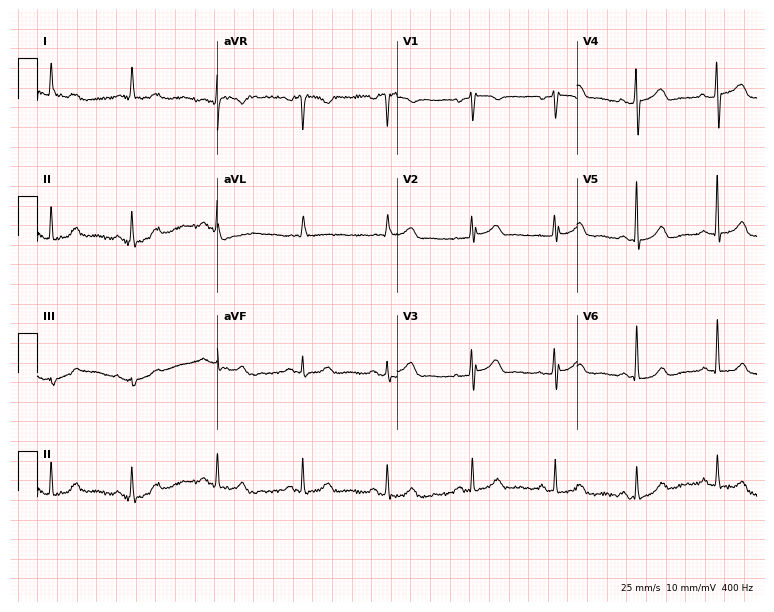
Electrocardiogram, a woman, 54 years old. Overall reading on record: normal ECG.